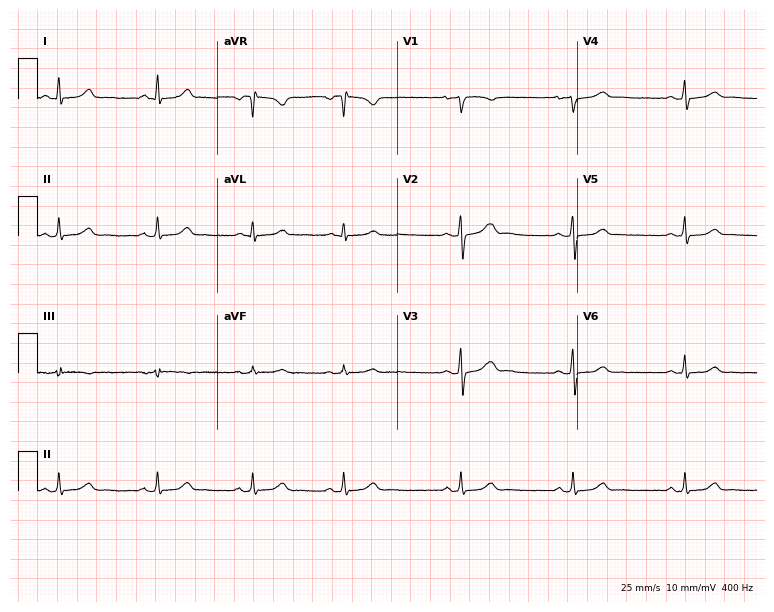
12-lead ECG from a female, 23 years old (7.3-second recording at 400 Hz). Recorded interpretation: within normal limits.